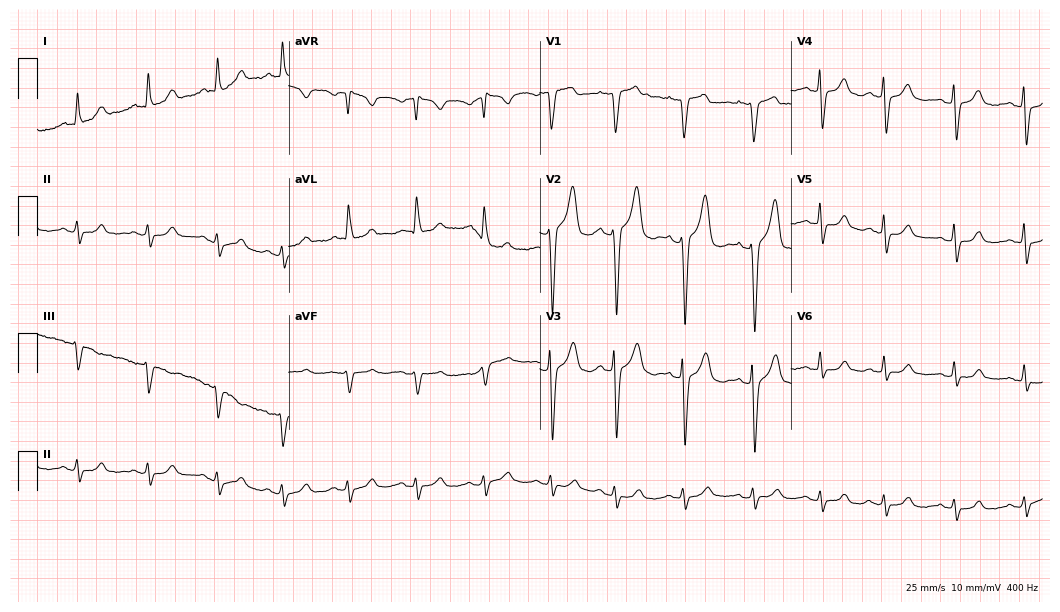
12-lead ECG from an 82-year-old male patient (10.2-second recording at 400 Hz). No first-degree AV block, right bundle branch block, left bundle branch block, sinus bradycardia, atrial fibrillation or sinus tachycardia recorded for this tracing.